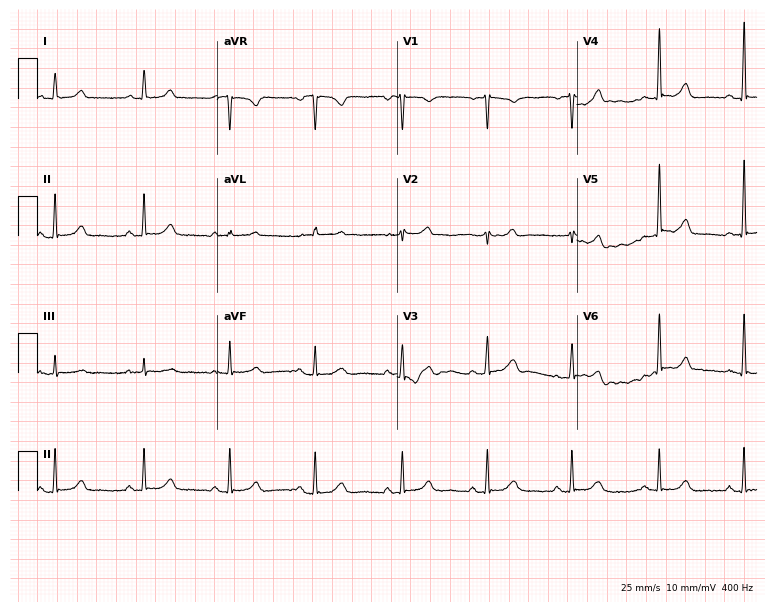
Electrocardiogram (7.3-second recording at 400 Hz), a female patient, 39 years old. Overall reading on record: normal ECG.